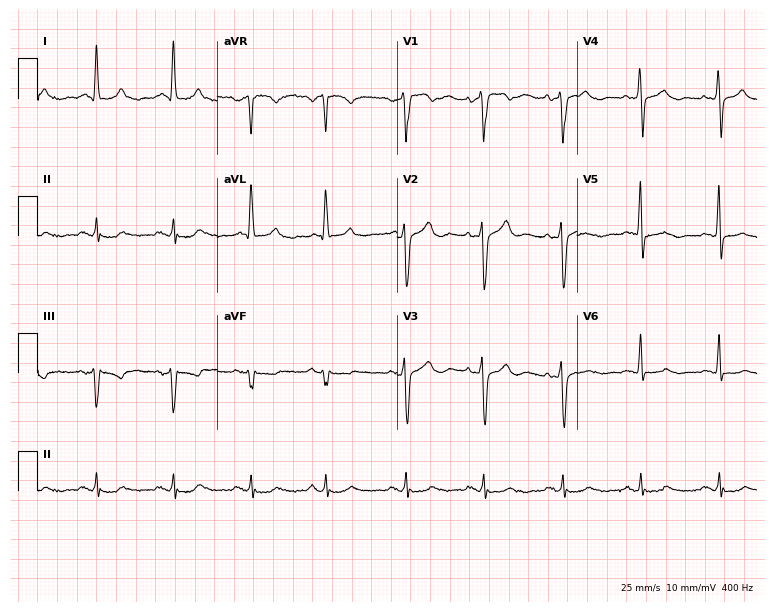
12-lead ECG from a 76-year-old man. No first-degree AV block, right bundle branch block (RBBB), left bundle branch block (LBBB), sinus bradycardia, atrial fibrillation (AF) or sinus tachycardia recorded for this tracing. Only these six findings were labelled.